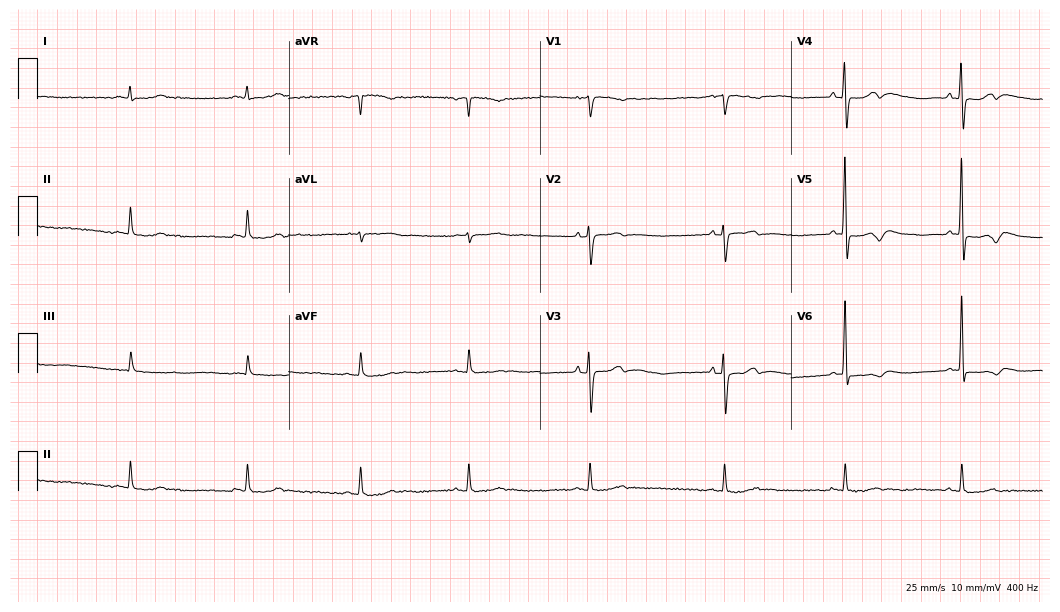
12-lead ECG from a 61-year-old female patient (10.2-second recording at 400 Hz). No first-degree AV block, right bundle branch block (RBBB), left bundle branch block (LBBB), sinus bradycardia, atrial fibrillation (AF) or sinus tachycardia recorded for this tracing. Findings outside these six are not listed.